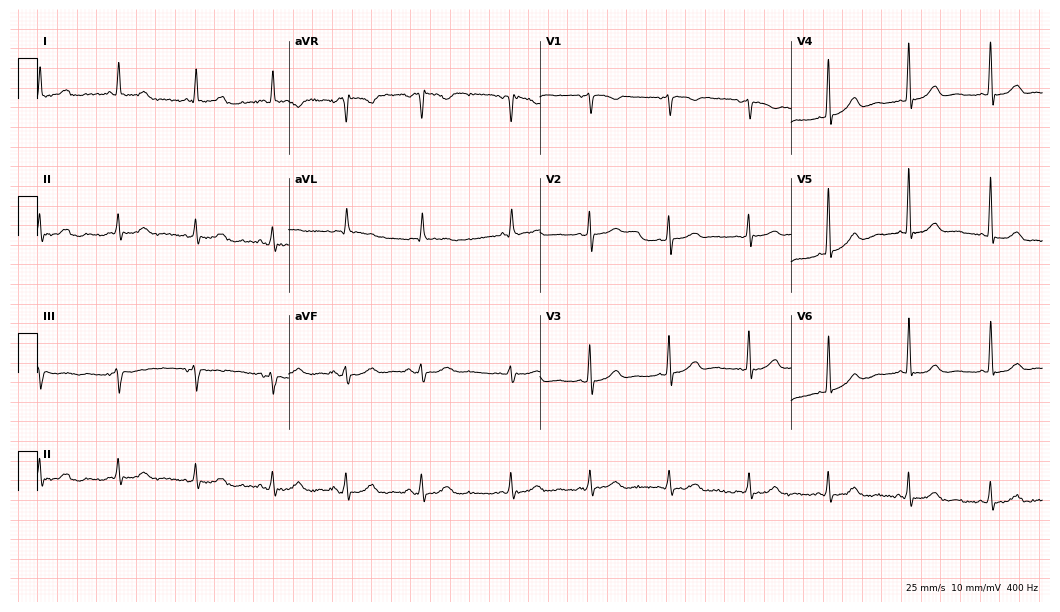
Resting 12-lead electrocardiogram (10.2-second recording at 400 Hz). Patient: a female, 77 years old. None of these six findings is recorded: first-degree AV block, right bundle branch block, left bundle branch block, sinus bradycardia, atrial fibrillation, sinus tachycardia.